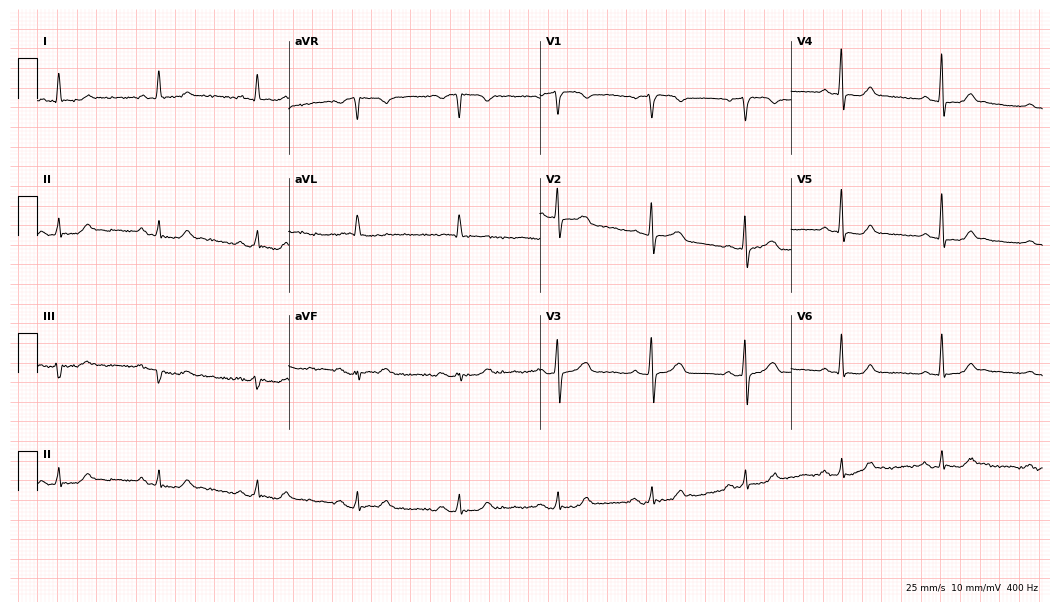
ECG (10.2-second recording at 400 Hz) — a female patient, 81 years old. Labelled as a normal ECG.